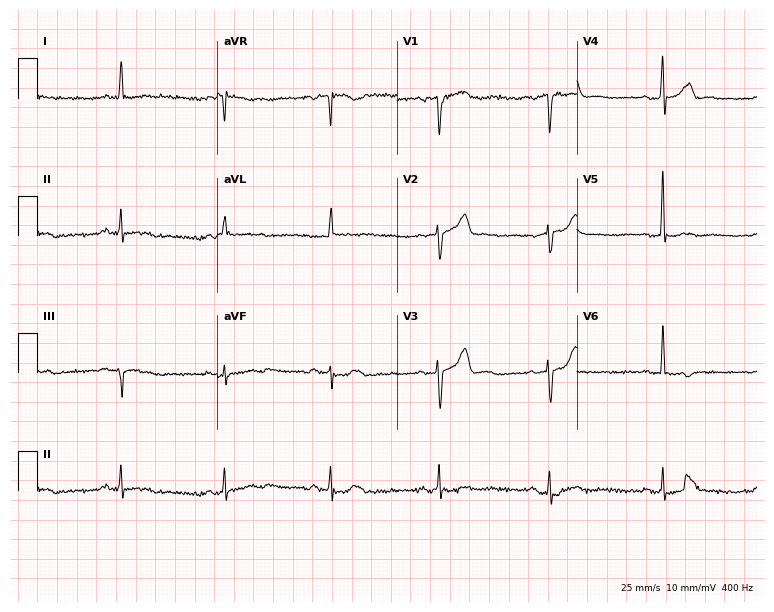
ECG — a male, 65 years old. Screened for six findings — first-degree AV block, right bundle branch block, left bundle branch block, sinus bradycardia, atrial fibrillation, sinus tachycardia — none is recorded.